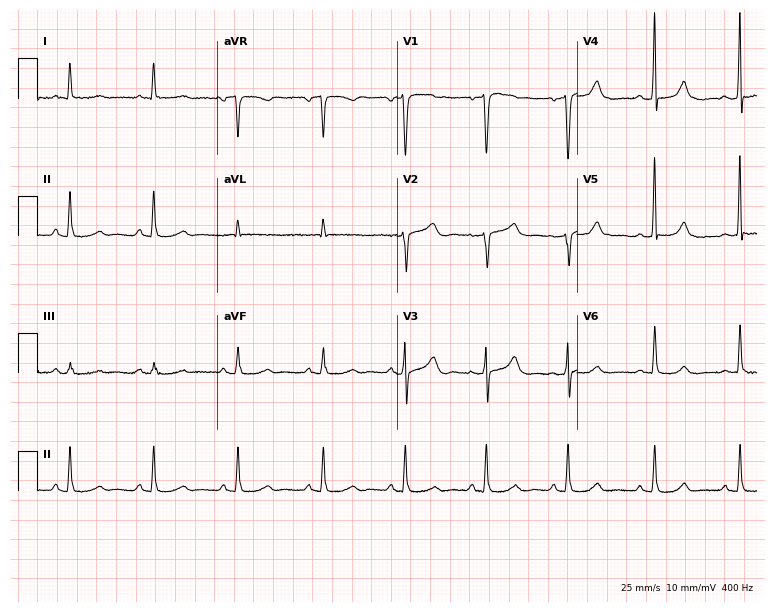
Standard 12-lead ECG recorded from a 59-year-old woman. Read as a normal ECG.